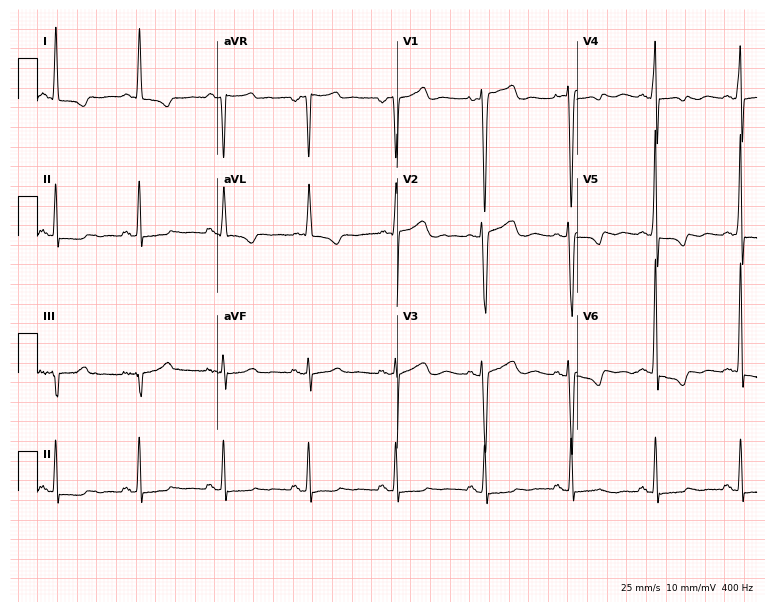
12-lead ECG from a 51-year-old female patient (7.3-second recording at 400 Hz). No first-degree AV block, right bundle branch block, left bundle branch block, sinus bradycardia, atrial fibrillation or sinus tachycardia recorded for this tracing.